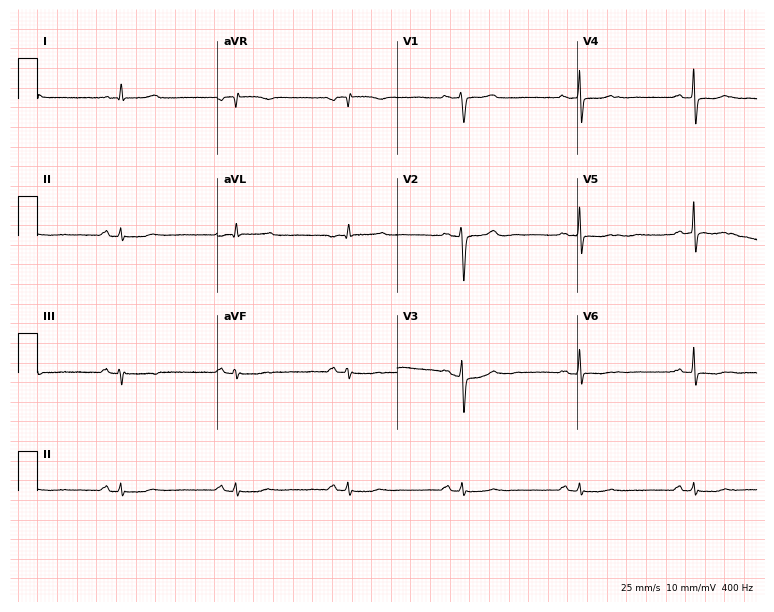
Standard 12-lead ECG recorded from a female, 58 years old (7.3-second recording at 400 Hz). None of these six findings is recorded: first-degree AV block, right bundle branch block, left bundle branch block, sinus bradycardia, atrial fibrillation, sinus tachycardia. Findings outside these six are not listed.